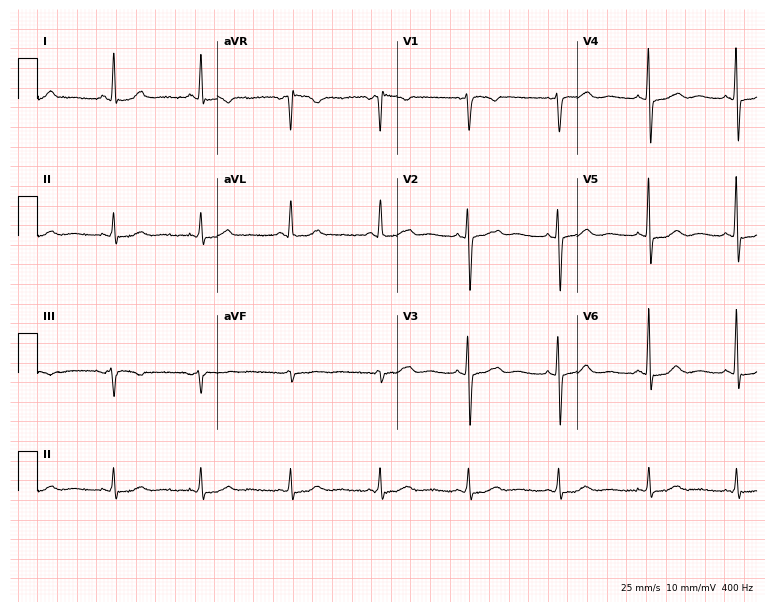
Resting 12-lead electrocardiogram. Patient: a man, 73 years old. None of these six findings is recorded: first-degree AV block, right bundle branch block, left bundle branch block, sinus bradycardia, atrial fibrillation, sinus tachycardia.